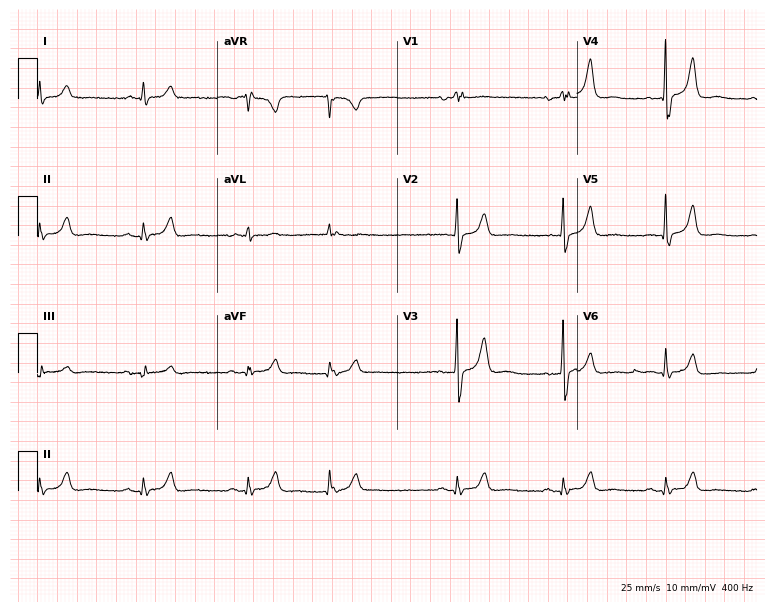
ECG — an 84-year-old female patient. Screened for six findings — first-degree AV block, right bundle branch block, left bundle branch block, sinus bradycardia, atrial fibrillation, sinus tachycardia — none is recorded.